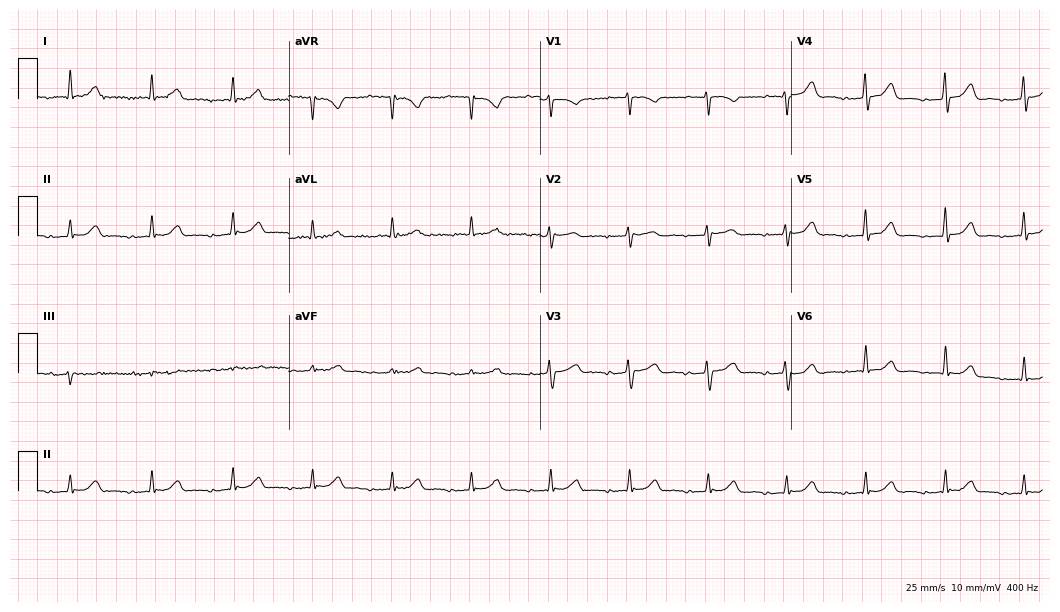
Standard 12-lead ECG recorded from a 74-year-old female patient (10.2-second recording at 400 Hz). The tracing shows first-degree AV block.